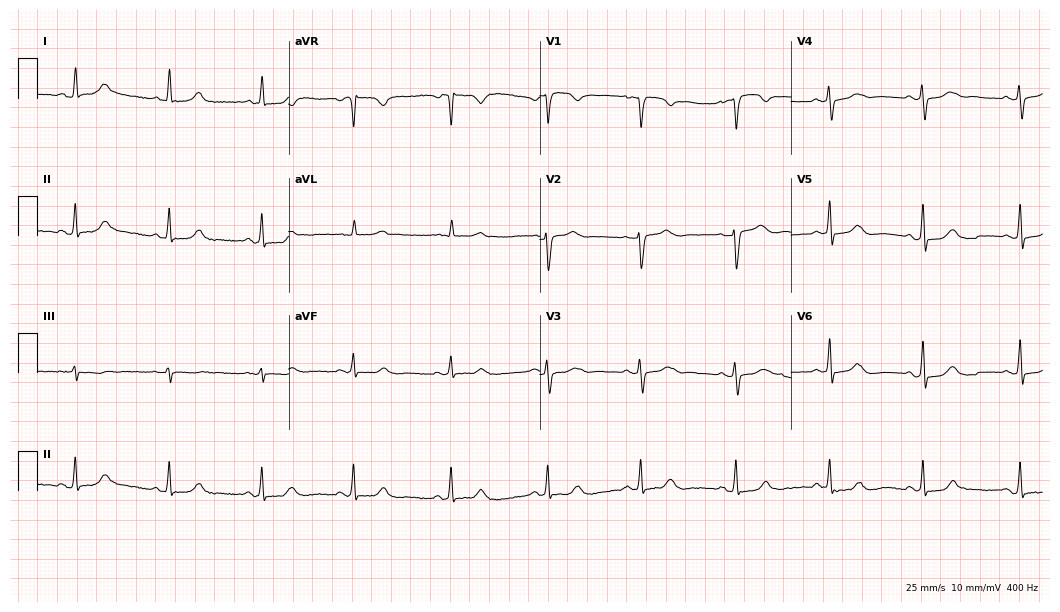
Standard 12-lead ECG recorded from a female patient, 43 years old. Read as a normal ECG.